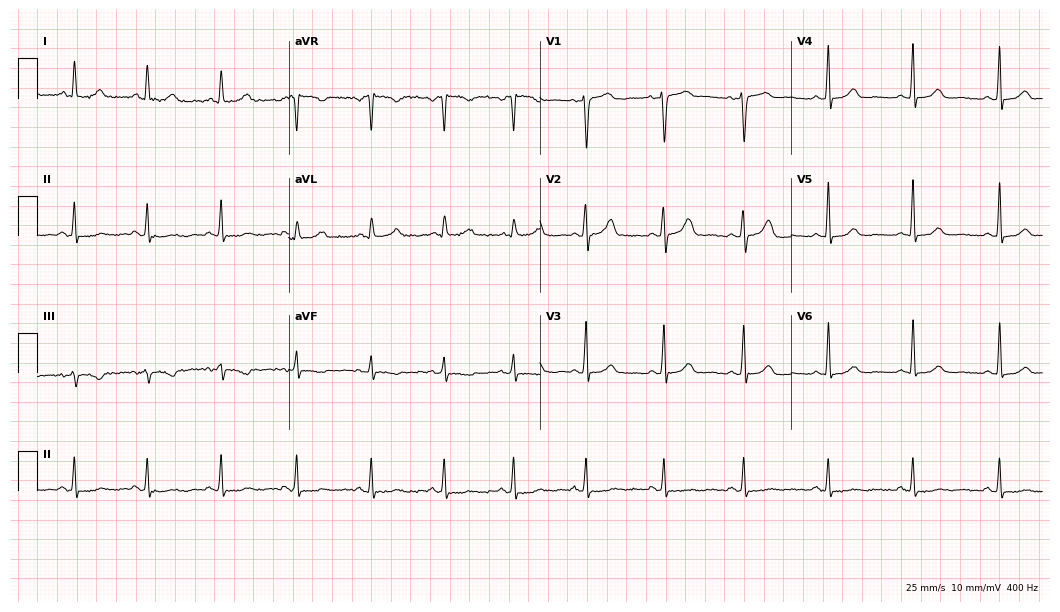
ECG — a female, 44 years old. Screened for six findings — first-degree AV block, right bundle branch block, left bundle branch block, sinus bradycardia, atrial fibrillation, sinus tachycardia — none is recorded. Other findings, if any, are not listed.